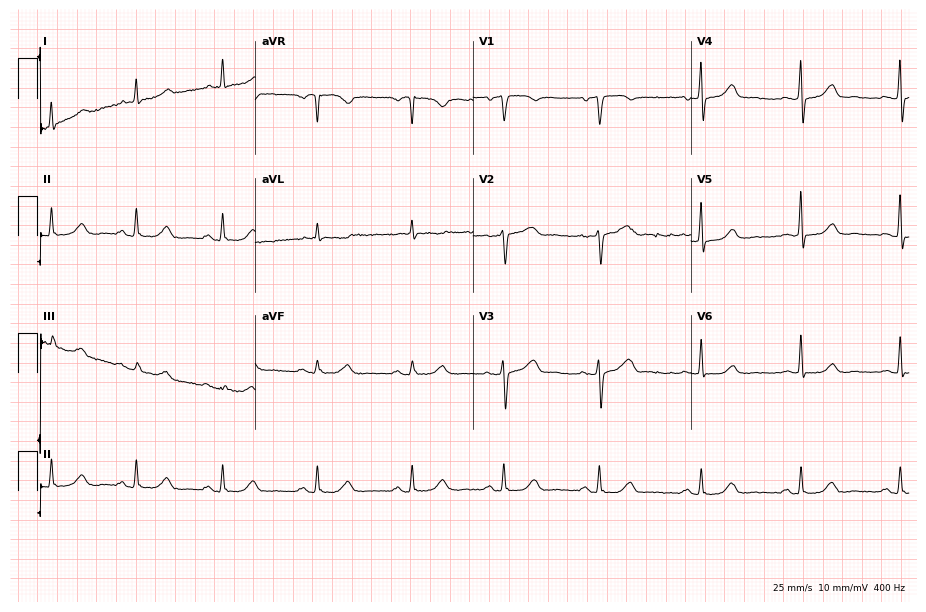
ECG (8.9-second recording at 400 Hz) — a 64-year-old female. Screened for six findings — first-degree AV block, right bundle branch block, left bundle branch block, sinus bradycardia, atrial fibrillation, sinus tachycardia — none is recorded.